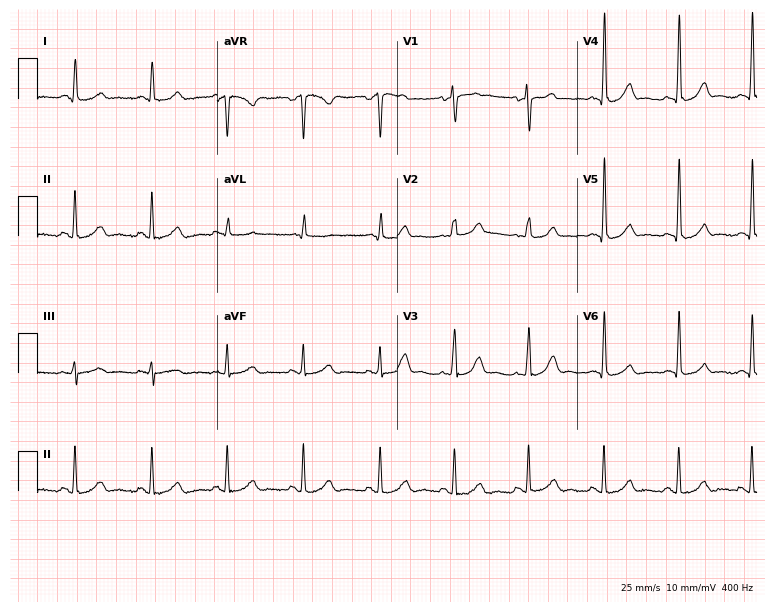
12-lead ECG (7.3-second recording at 400 Hz) from a male patient, 45 years old. Screened for six findings — first-degree AV block, right bundle branch block, left bundle branch block, sinus bradycardia, atrial fibrillation, sinus tachycardia — none is recorded.